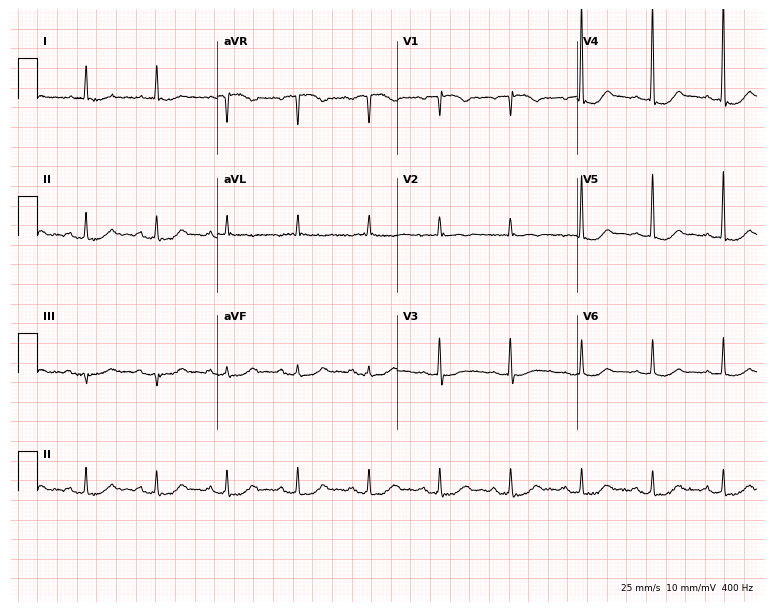
12-lead ECG (7.3-second recording at 400 Hz) from a 76-year-old woman. Screened for six findings — first-degree AV block, right bundle branch block, left bundle branch block, sinus bradycardia, atrial fibrillation, sinus tachycardia — none is recorded.